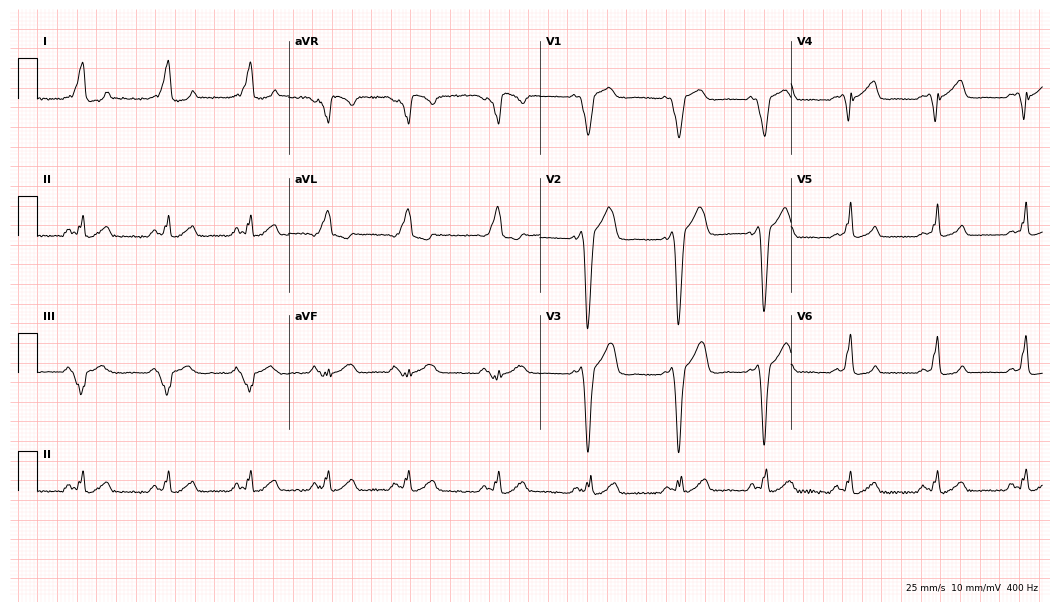
Standard 12-lead ECG recorded from a 32-year-old female patient. The tracing shows left bundle branch block.